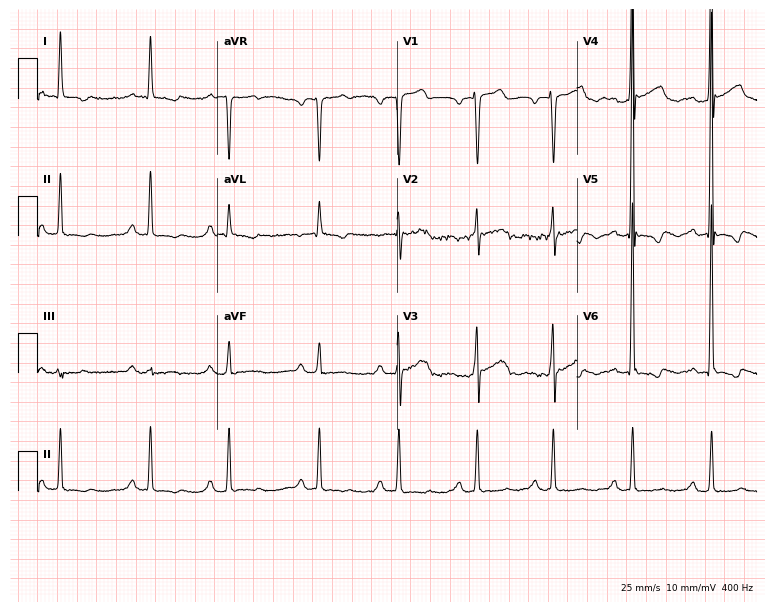
12-lead ECG from a 70-year-old male patient. Screened for six findings — first-degree AV block, right bundle branch block (RBBB), left bundle branch block (LBBB), sinus bradycardia, atrial fibrillation (AF), sinus tachycardia — none is recorded. Other findings, if any, are not listed.